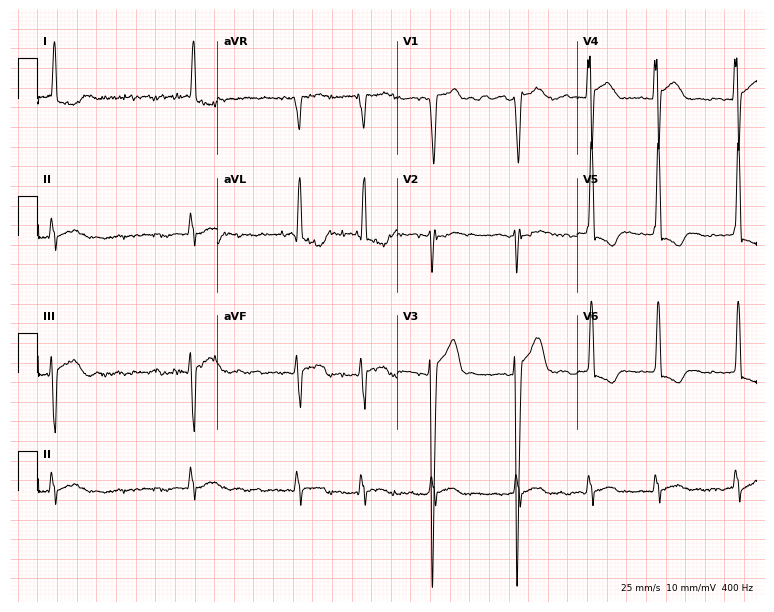
12-lead ECG from a 26-year-old female (7.3-second recording at 400 Hz). Shows atrial fibrillation (AF).